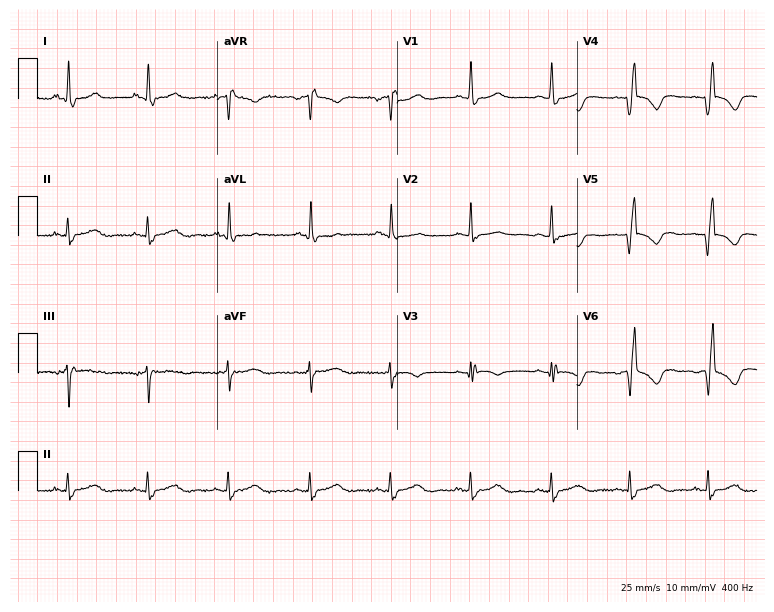
ECG — a female, 77 years old. Screened for six findings — first-degree AV block, right bundle branch block (RBBB), left bundle branch block (LBBB), sinus bradycardia, atrial fibrillation (AF), sinus tachycardia — none is recorded. Other findings, if any, are not listed.